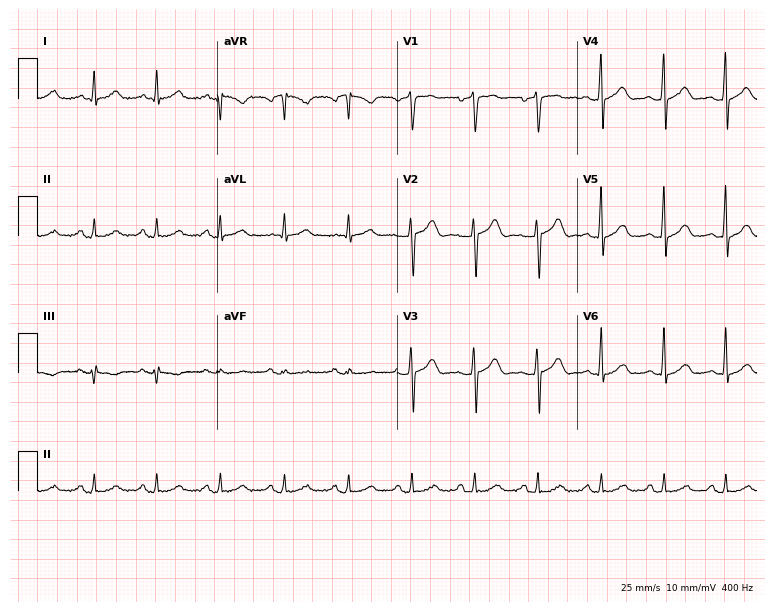
Standard 12-lead ECG recorded from a male patient, 44 years old (7.3-second recording at 400 Hz). None of these six findings is recorded: first-degree AV block, right bundle branch block, left bundle branch block, sinus bradycardia, atrial fibrillation, sinus tachycardia.